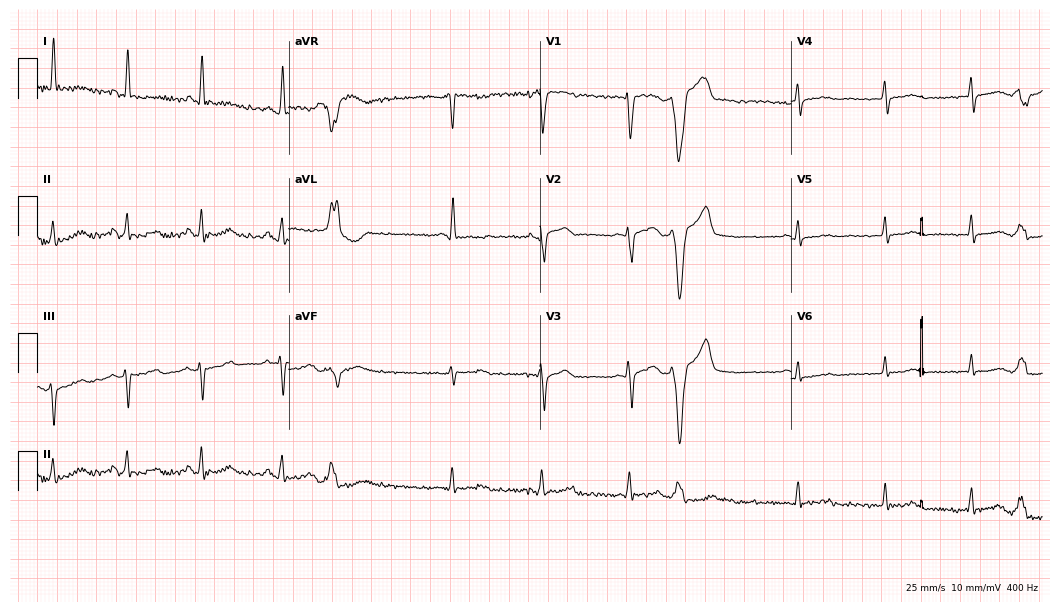
ECG (10.2-second recording at 400 Hz) — a female patient, 55 years old. Screened for six findings — first-degree AV block, right bundle branch block, left bundle branch block, sinus bradycardia, atrial fibrillation, sinus tachycardia — none is recorded.